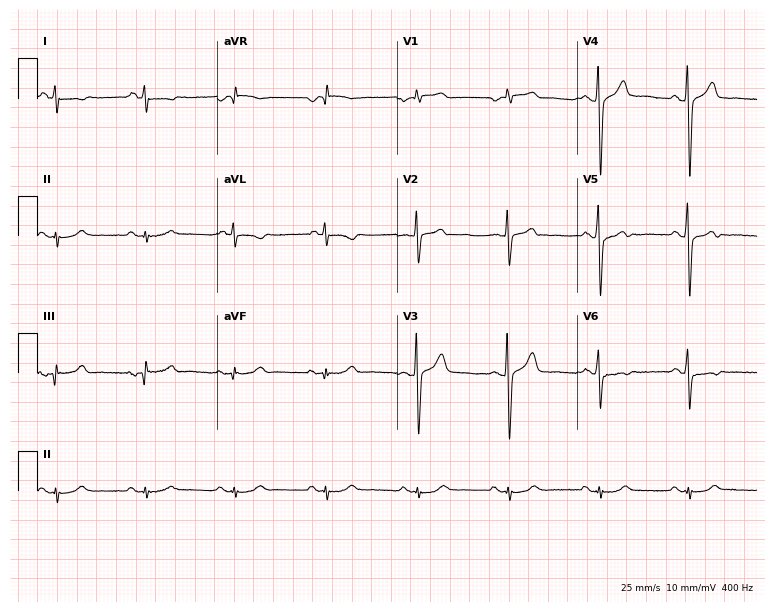
Electrocardiogram (7.3-second recording at 400 Hz), a male, 51 years old. Of the six screened findings (first-degree AV block, right bundle branch block, left bundle branch block, sinus bradycardia, atrial fibrillation, sinus tachycardia), none is recorded.